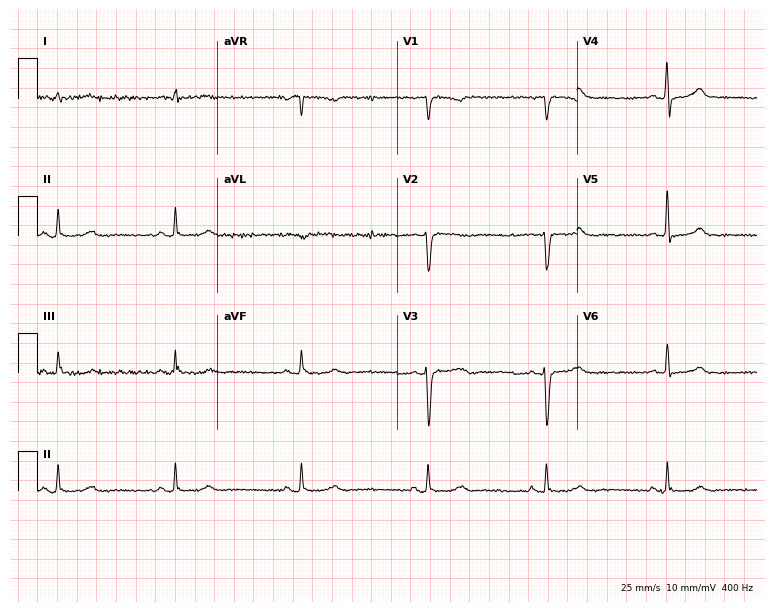
12-lead ECG from a woman, 44 years old. Findings include sinus bradycardia (a sinus rate of 50 beats per minute or less).